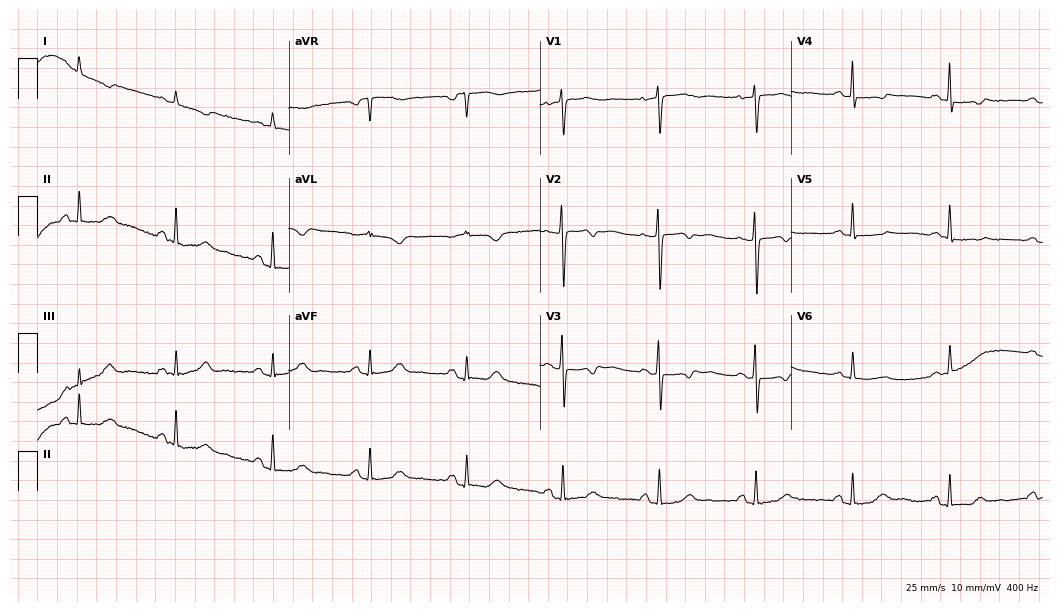
Resting 12-lead electrocardiogram. Patient: an 84-year-old woman. None of these six findings is recorded: first-degree AV block, right bundle branch block, left bundle branch block, sinus bradycardia, atrial fibrillation, sinus tachycardia. Other findings, if any, are not listed.